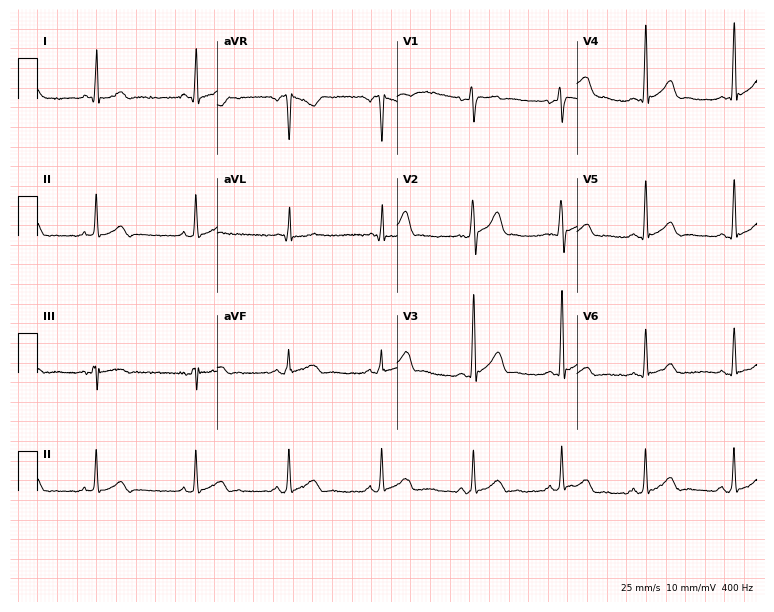
Standard 12-lead ECG recorded from a 24-year-old male patient (7.3-second recording at 400 Hz). Read as a normal ECG.